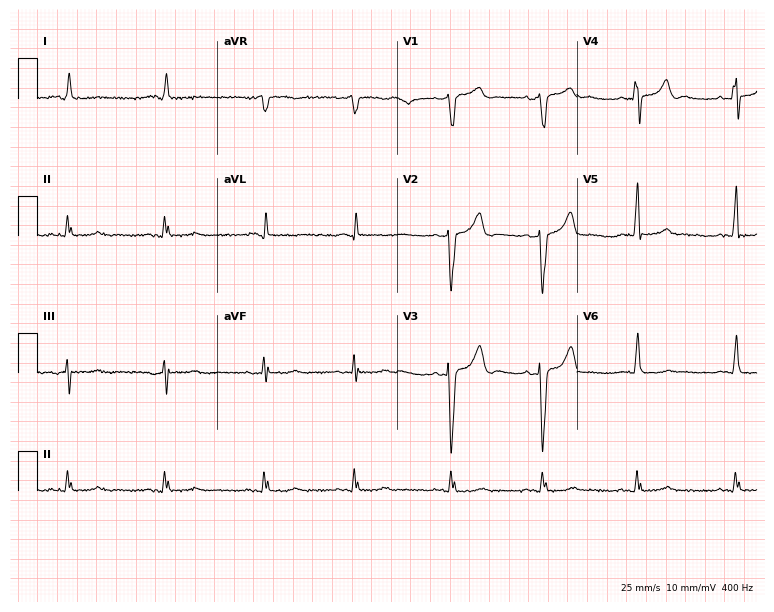
12-lead ECG from a male patient, 73 years old (7.3-second recording at 400 Hz). Recorded interpretation: within normal limits.